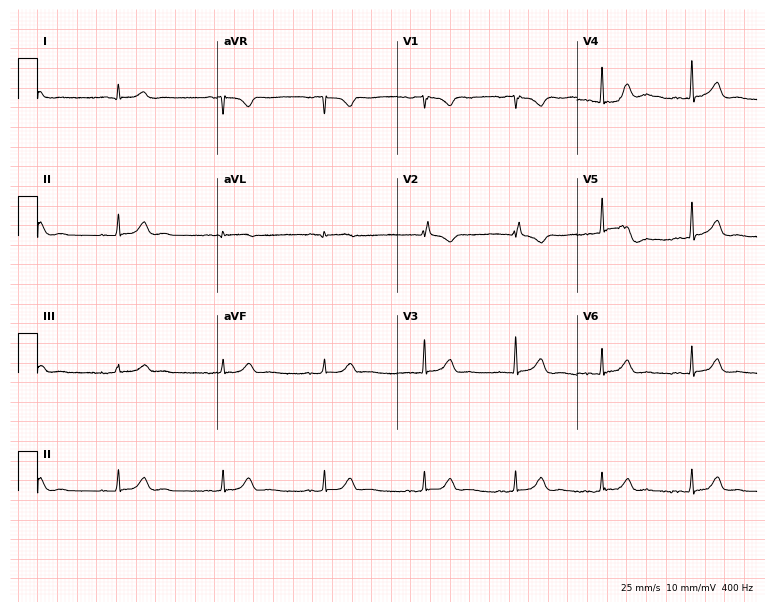
Standard 12-lead ECG recorded from a 21-year-old male patient (7.3-second recording at 400 Hz). Read as a normal ECG.